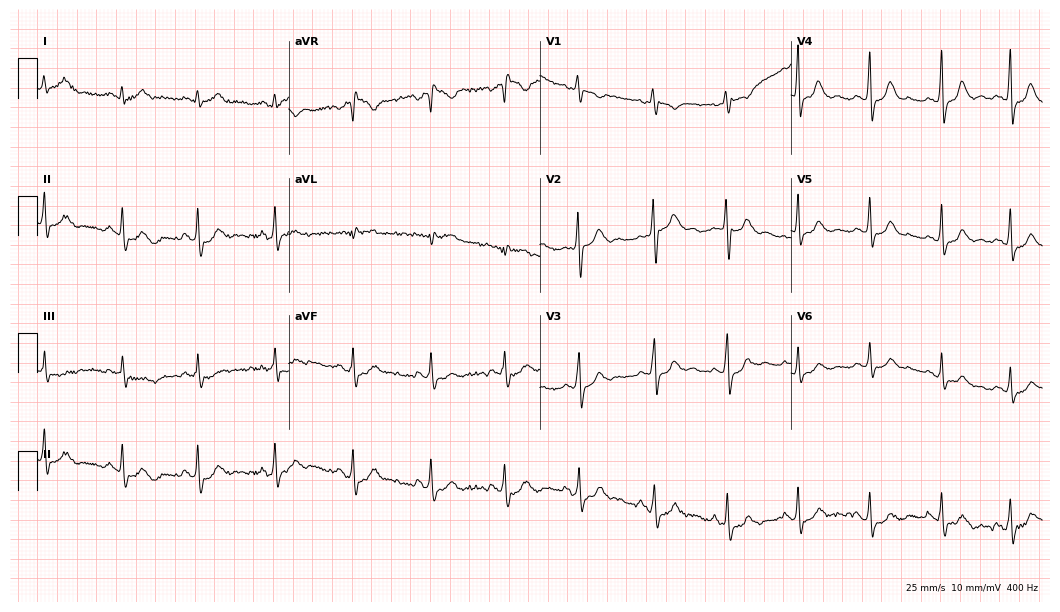
12-lead ECG from a 24-year-old woman. No first-degree AV block, right bundle branch block (RBBB), left bundle branch block (LBBB), sinus bradycardia, atrial fibrillation (AF) or sinus tachycardia recorded for this tracing.